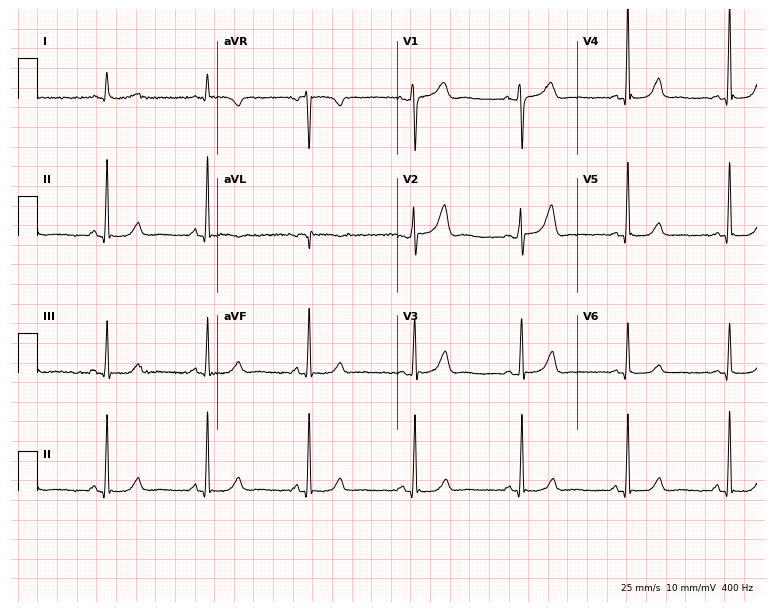
Resting 12-lead electrocardiogram (7.3-second recording at 400 Hz). Patient: a 45-year-old female. None of these six findings is recorded: first-degree AV block, right bundle branch block (RBBB), left bundle branch block (LBBB), sinus bradycardia, atrial fibrillation (AF), sinus tachycardia.